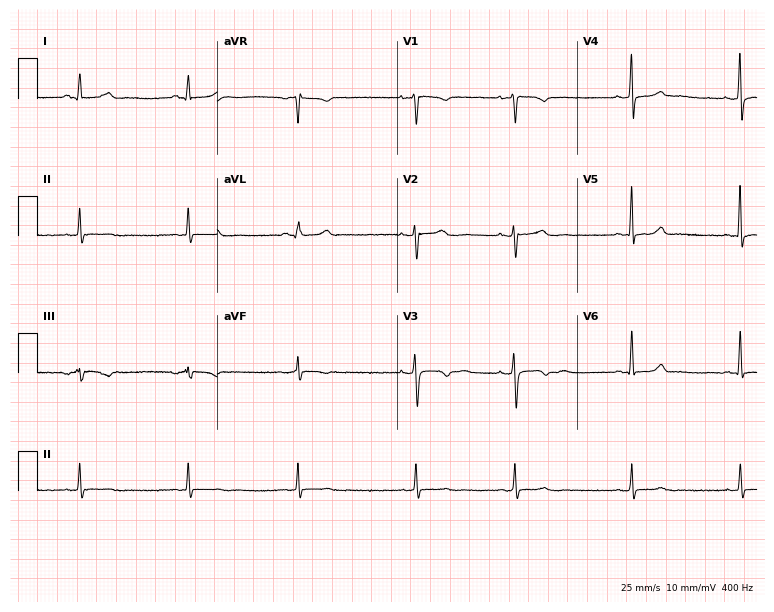
Resting 12-lead electrocardiogram (7.3-second recording at 400 Hz). Patient: a female, 34 years old. None of these six findings is recorded: first-degree AV block, right bundle branch block, left bundle branch block, sinus bradycardia, atrial fibrillation, sinus tachycardia. Other findings, if any, are not listed.